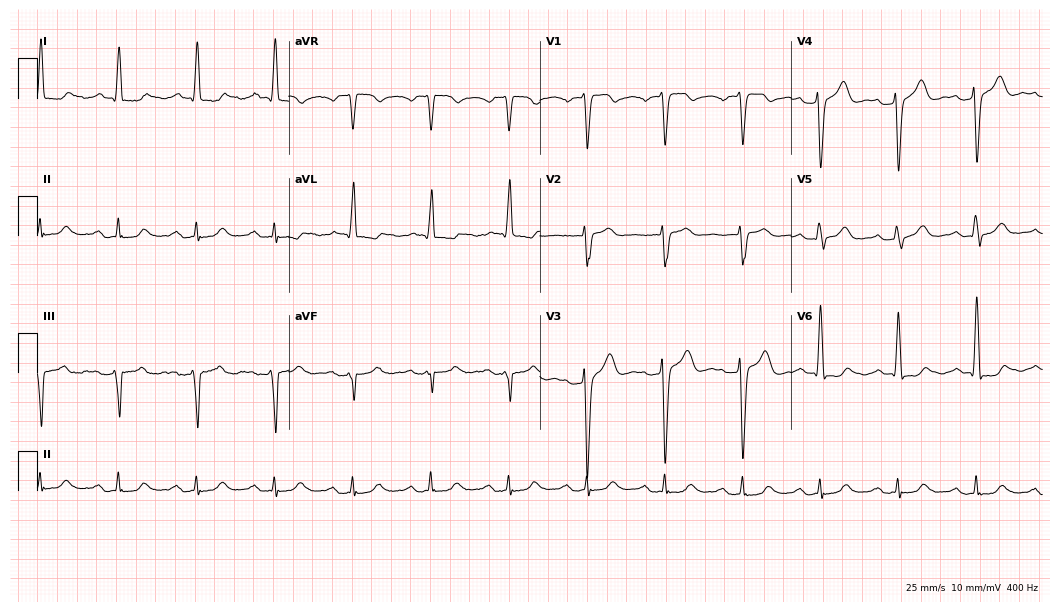
Electrocardiogram (10.2-second recording at 400 Hz), an 82-year-old man. Of the six screened findings (first-degree AV block, right bundle branch block, left bundle branch block, sinus bradycardia, atrial fibrillation, sinus tachycardia), none is recorded. Only these six findings were labelled.